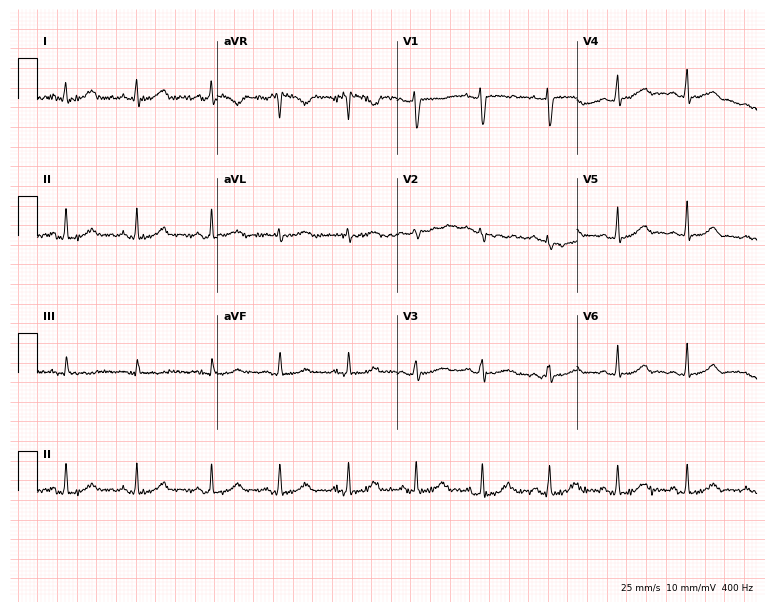
ECG — a female patient, 35 years old. Labelled as a normal ECG.